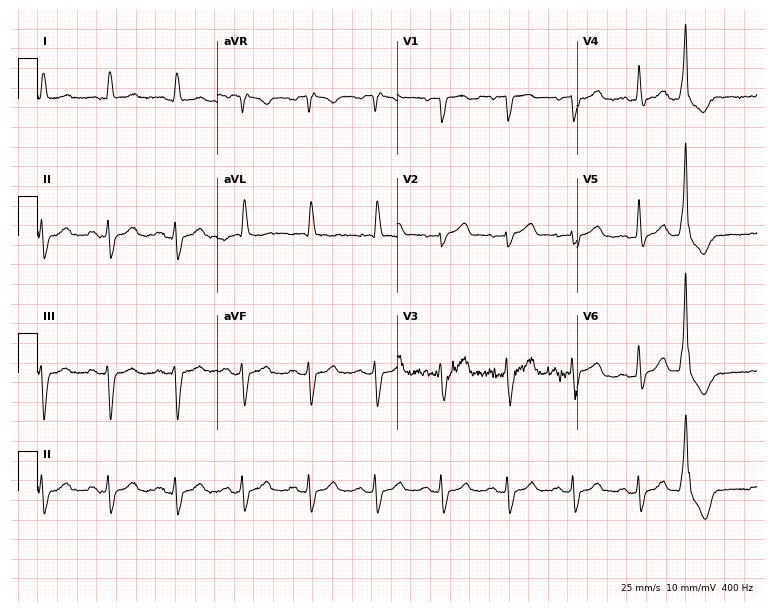
12-lead ECG from a male, 75 years old. Screened for six findings — first-degree AV block, right bundle branch block, left bundle branch block, sinus bradycardia, atrial fibrillation, sinus tachycardia — none is recorded.